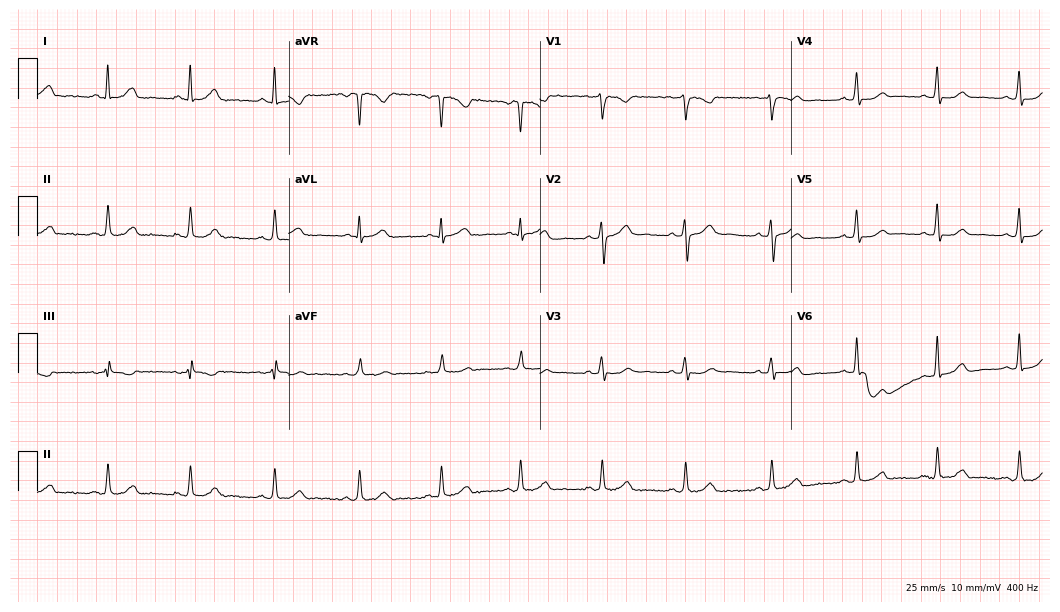
ECG (10.2-second recording at 400 Hz) — a female patient, 43 years old. Labelled as a normal ECG.